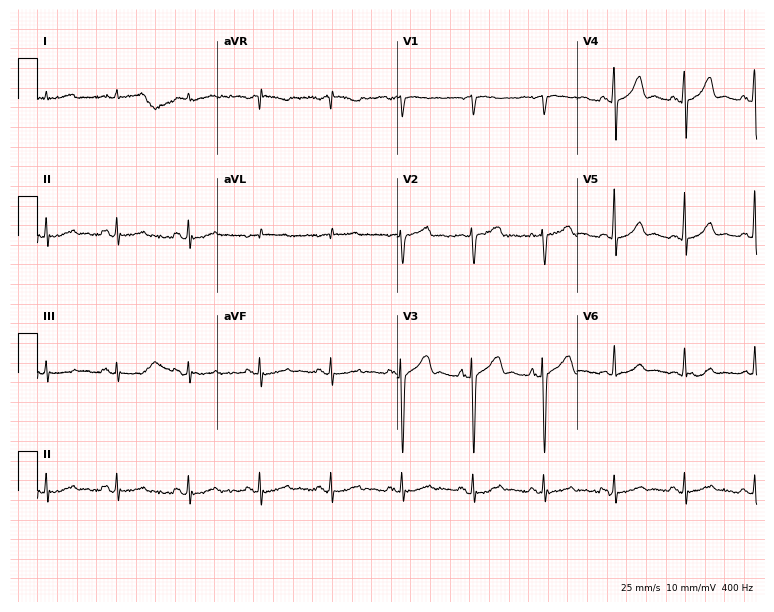
Standard 12-lead ECG recorded from an 82-year-old male (7.3-second recording at 400 Hz). Read as a normal ECG.